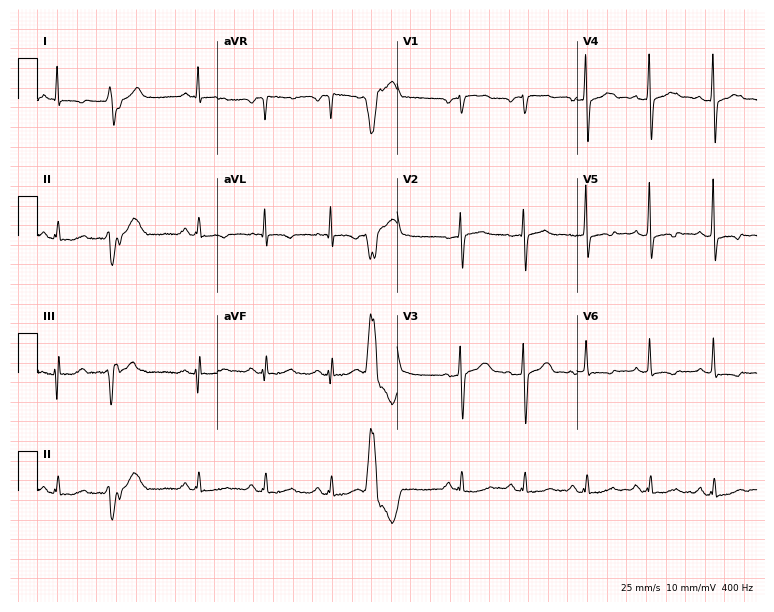
Electrocardiogram, a male patient, 50 years old. Of the six screened findings (first-degree AV block, right bundle branch block (RBBB), left bundle branch block (LBBB), sinus bradycardia, atrial fibrillation (AF), sinus tachycardia), none is recorded.